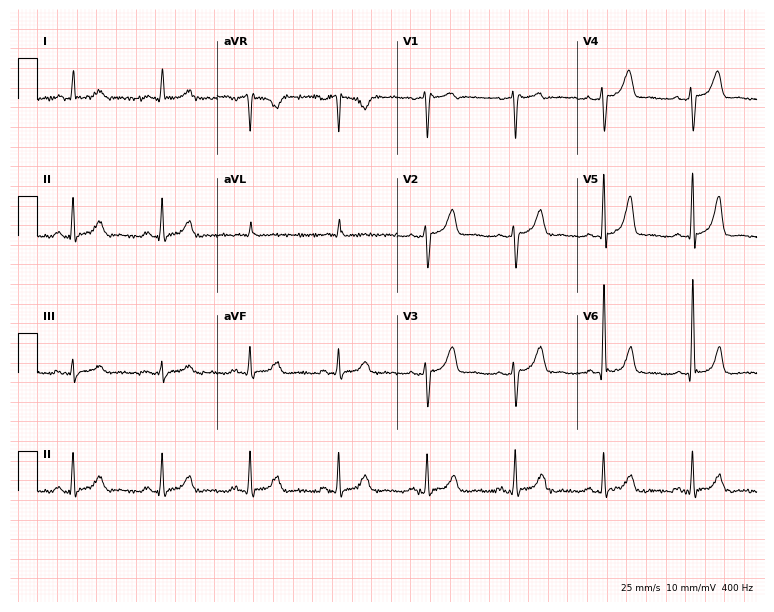
12-lead ECG (7.3-second recording at 400 Hz) from a male, 69 years old. Labelled as a normal ECG.